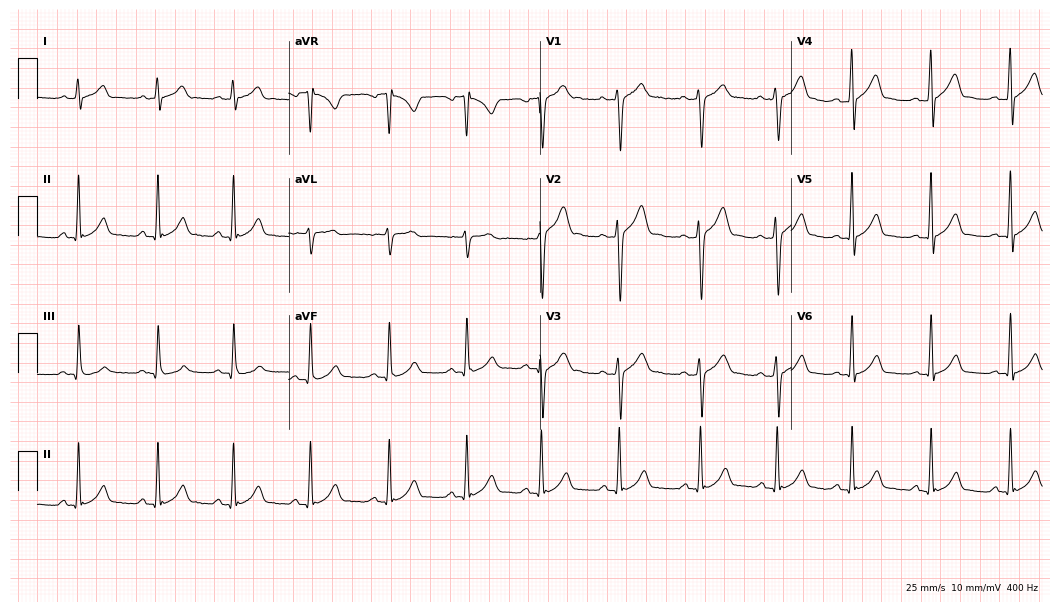
Electrocardiogram, an 18-year-old male patient. Overall reading on record: normal ECG.